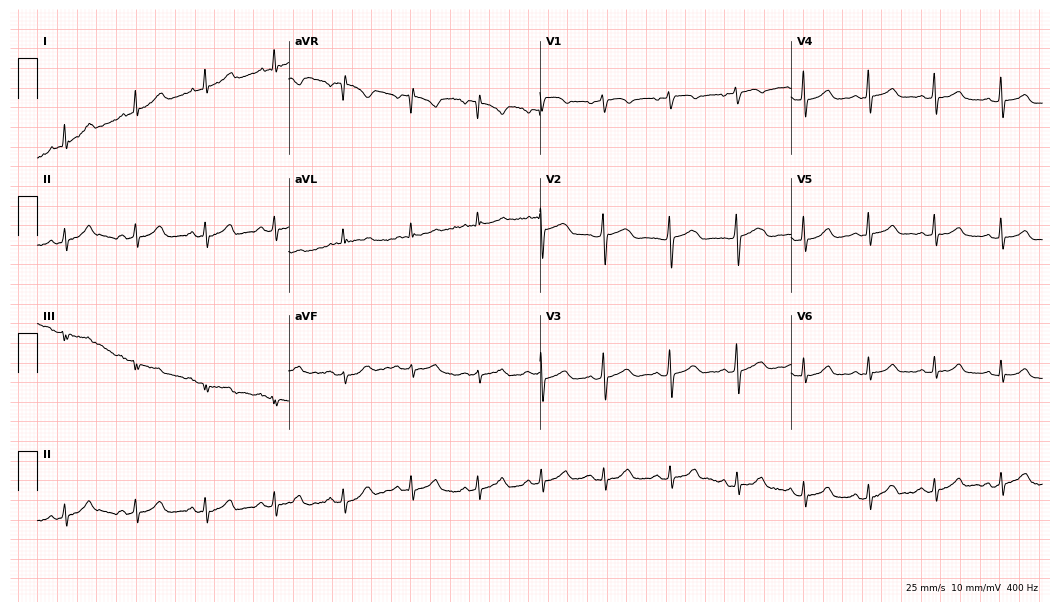
12-lead ECG (10.2-second recording at 400 Hz) from a woman, 58 years old. Labelled as a normal ECG.